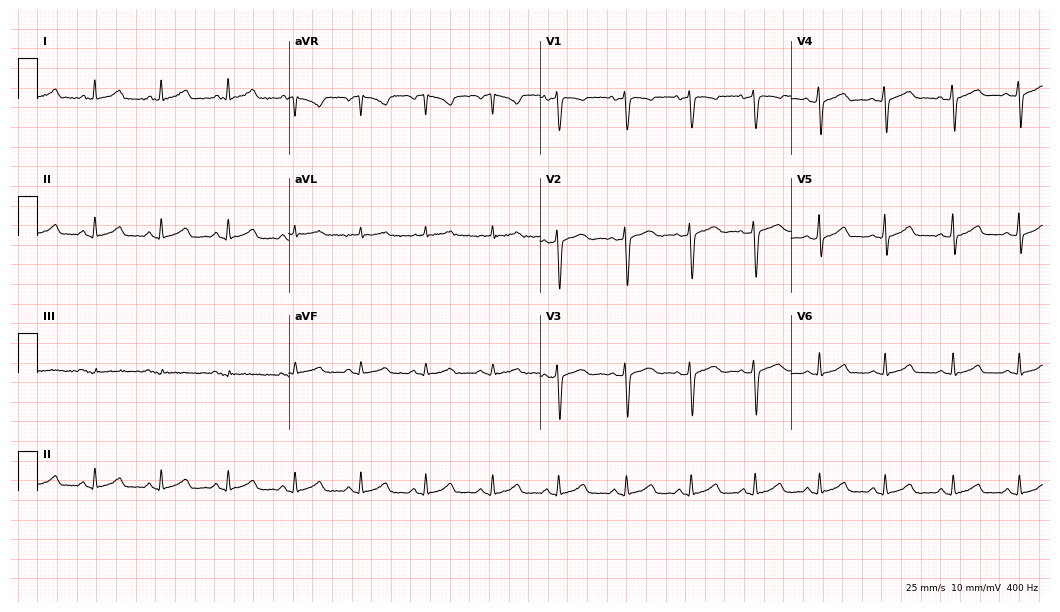
12-lead ECG from a female, 32 years old. No first-degree AV block, right bundle branch block, left bundle branch block, sinus bradycardia, atrial fibrillation or sinus tachycardia recorded for this tracing. Only these six findings were labelled.